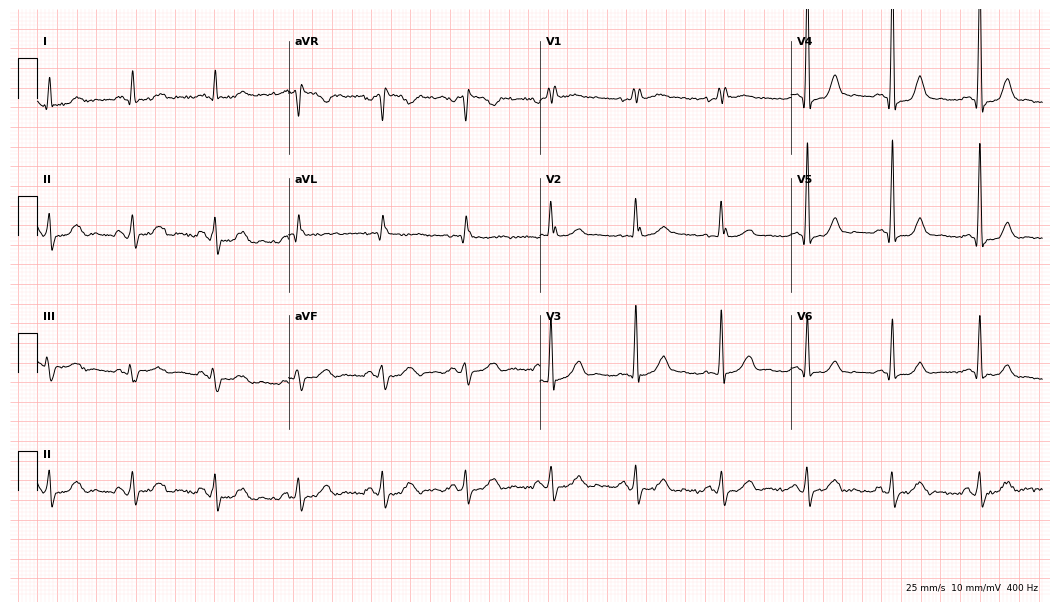
12-lead ECG from a male patient, 63 years old. No first-degree AV block, right bundle branch block, left bundle branch block, sinus bradycardia, atrial fibrillation or sinus tachycardia recorded for this tracing. Other findings, if any, are not listed.